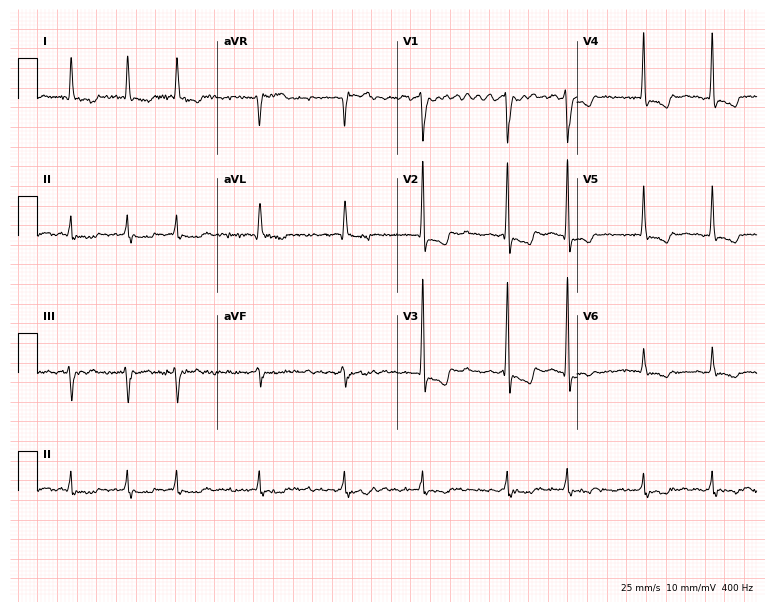
12-lead ECG from a 72-year-old female patient. Shows atrial fibrillation.